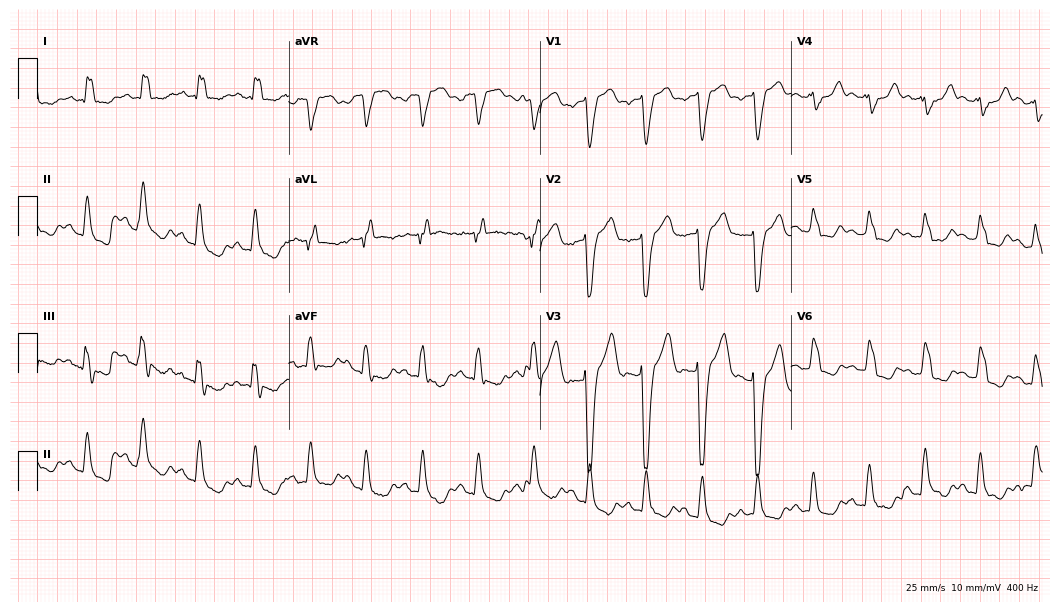
Resting 12-lead electrocardiogram (10.2-second recording at 400 Hz). Patient: a 68-year-old woman. The tracing shows left bundle branch block (LBBB), sinus tachycardia (a sinus rate of 100 beats per minute or more).